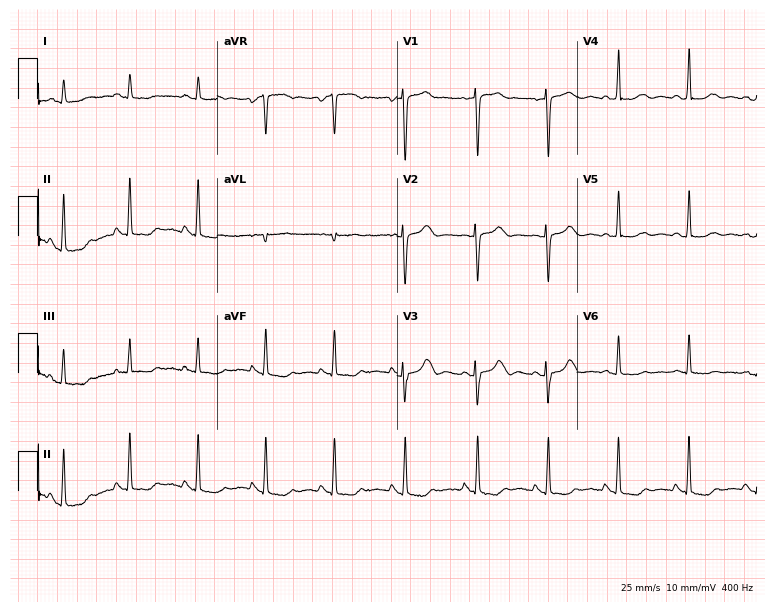
Standard 12-lead ECG recorded from a 56-year-old female (7.3-second recording at 400 Hz). None of these six findings is recorded: first-degree AV block, right bundle branch block (RBBB), left bundle branch block (LBBB), sinus bradycardia, atrial fibrillation (AF), sinus tachycardia. Findings outside these six are not listed.